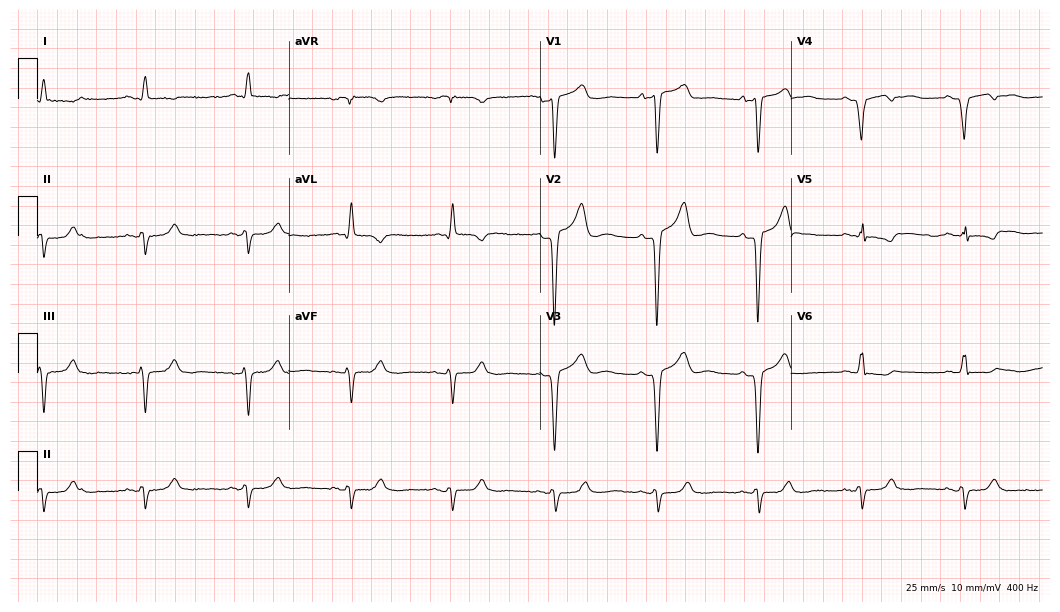
Standard 12-lead ECG recorded from a man, 81 years old. None of these six findings is recorded: first-degree AV block, right bundle branch block, left bundle branch block, sinus bradycardia, atrial fibrillation, sinus tachycardia.